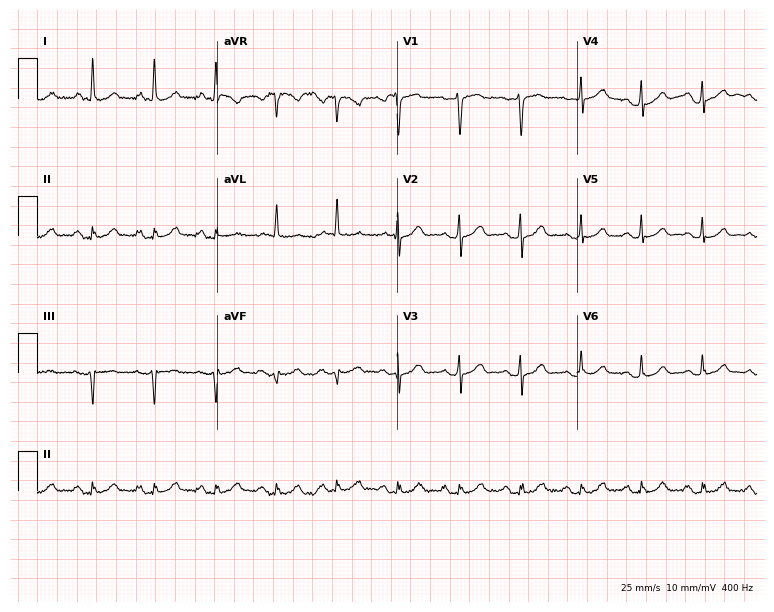
Electrocardiogram, a female patient, 70 years old. Overall reading on record: normal ECG.